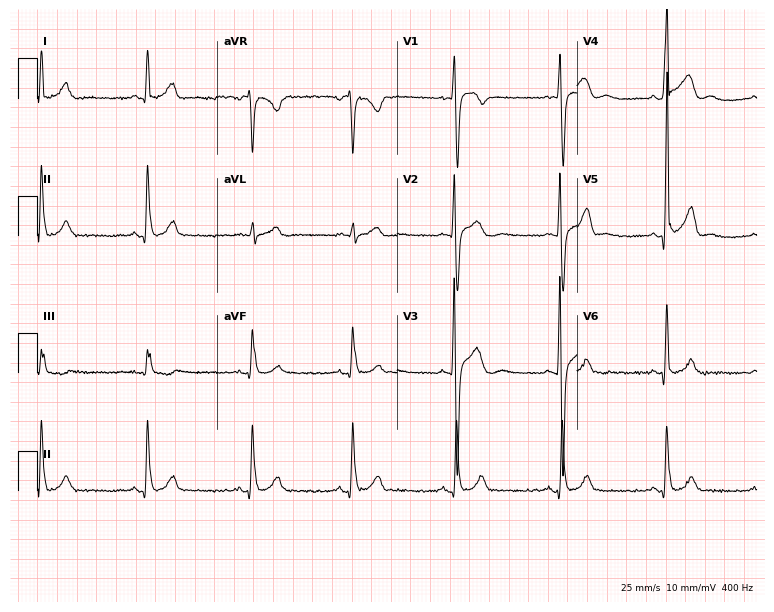
Resting 12-lead electrocardiogram. Patient: a man, 21 years old. None of these six findings is recorded: first-degree AV block, right bundle branch block, left bundle branch block, sinus bradycardia, atrial fibrillation, sinus tachycardia.